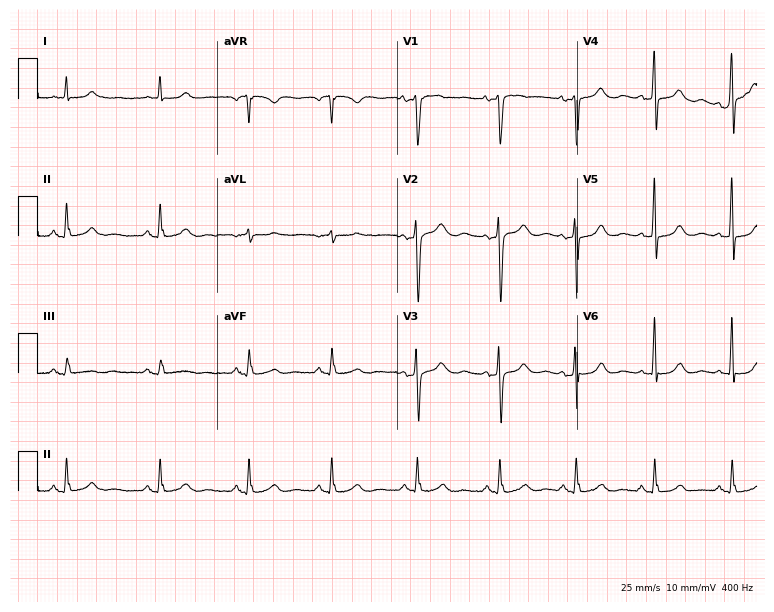
12-lead ECG (7.3-second recording at 400 Hz) from a 42-year-old female patient. Labelled as a normal ECG.